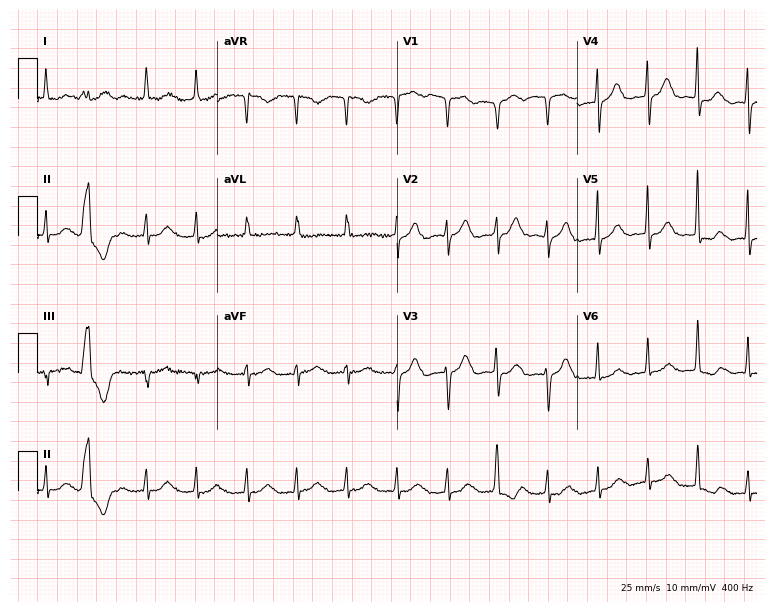
12-lead ECG (7.3-second recording at 400 Hz) from a female patient, 76 years old. Findings include atrial fibrillation (AF).